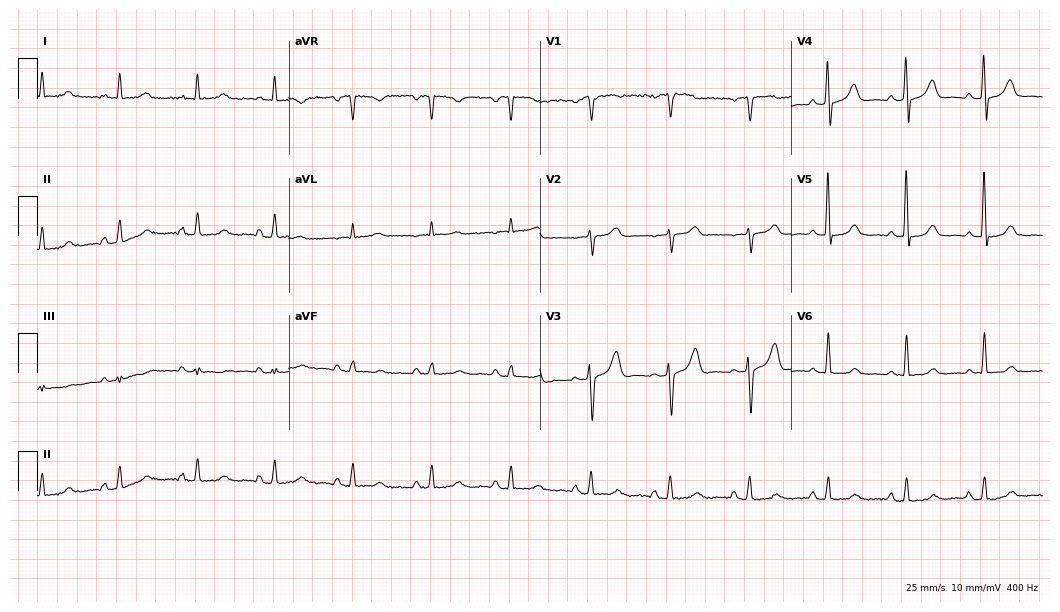
Resting 12-lead electrocardiogram. Patient: a 68-year-old woman. None of these six findings is recorded: first-degree AV block, right bundle branch block (RBBB), left bundle branch block (LBBB), sinus bradycardia, atrial fibrillation (AF), sinus tachycardia. Findings outside these six are not listed.